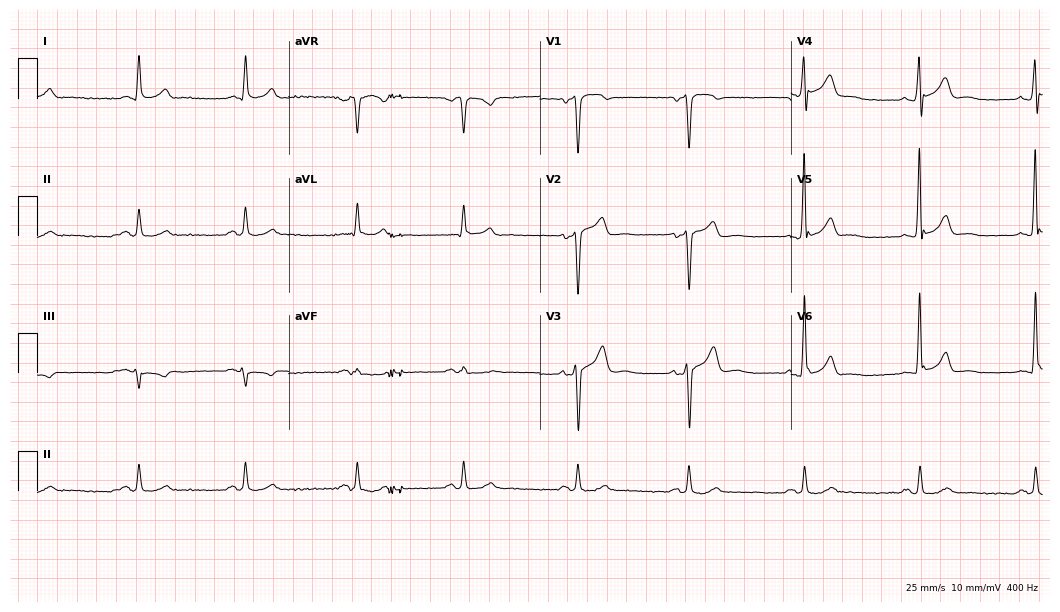
Resting 12-lead electrocardiogram (10.2-second recording at 400 Hz). Patient: a 57-year-old male. None of these six findings is recorded: first-degree AV block, right bundle branch block, left bundle branch block, sinus bradycardia, atrial fibrillation, sinus tachycardia. Only these six findings were labelled.